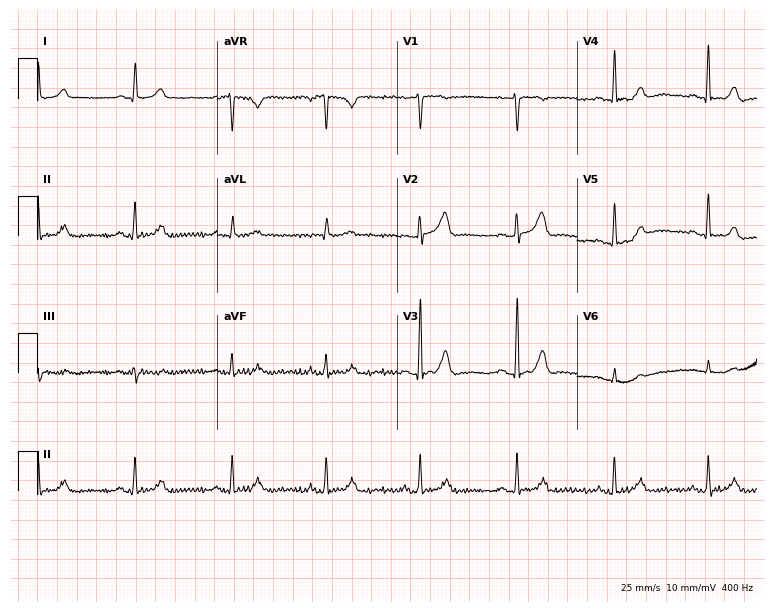
12-lead ECG from a female, 47 years old. No first-degree AV block, right bundle branch block, left bundle branch block, sinus bradycardia, atrial fibrillation or sinus tachycardia recorded for this tracing.